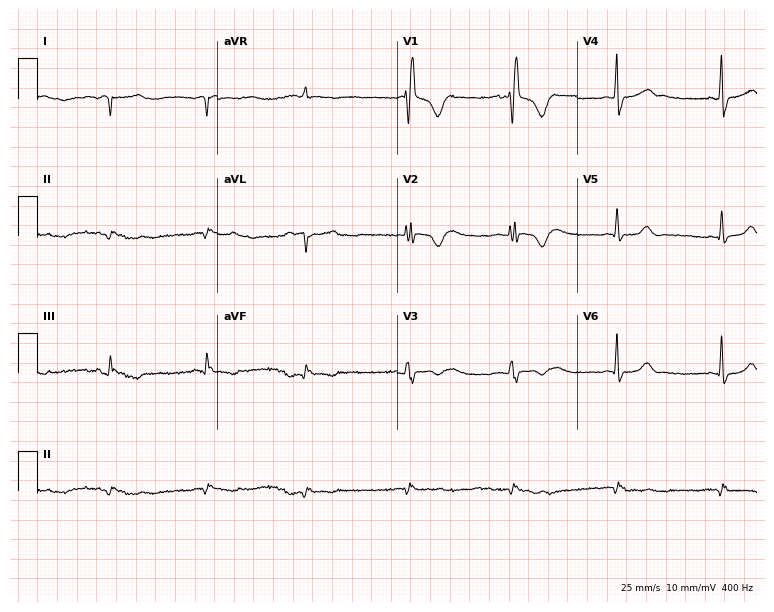
12-lead ECG from a woman, 45 years old (7.3-second recording at 400 Hz). No first-degree AV block, right bundle branch block, left bundle branch block, sinus bradycardia, atrial fibrillation or sinus tachycardia recorded for this tracing.